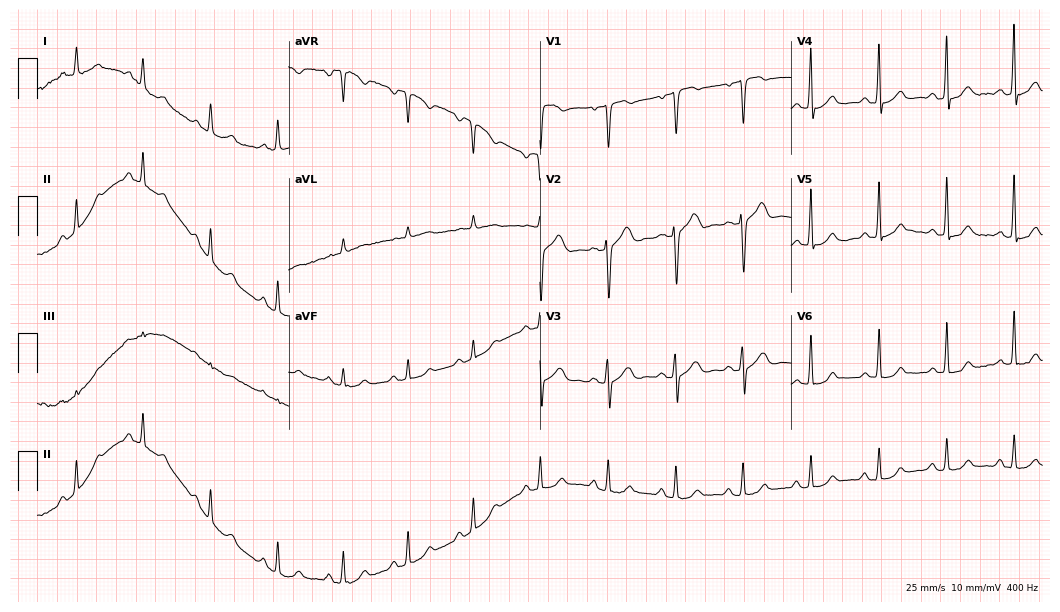
Electrocardiogram, a woman, 74 years old. Overall reading on record: normal ECG.